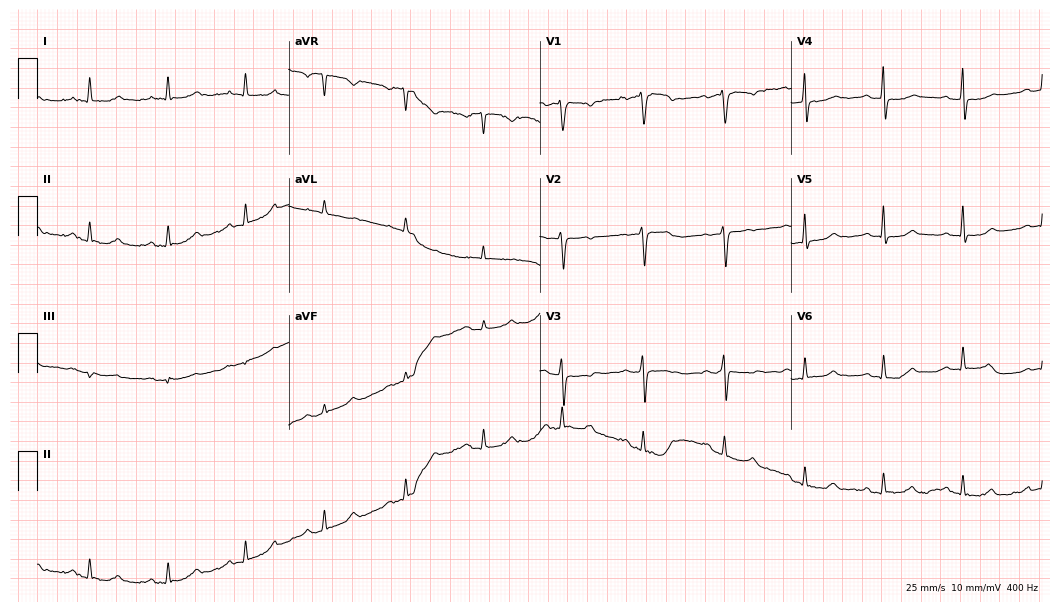
ECG (10.2-second recording at 400 Hz) — a female, 53 years old. Labelled as a normal ECG.